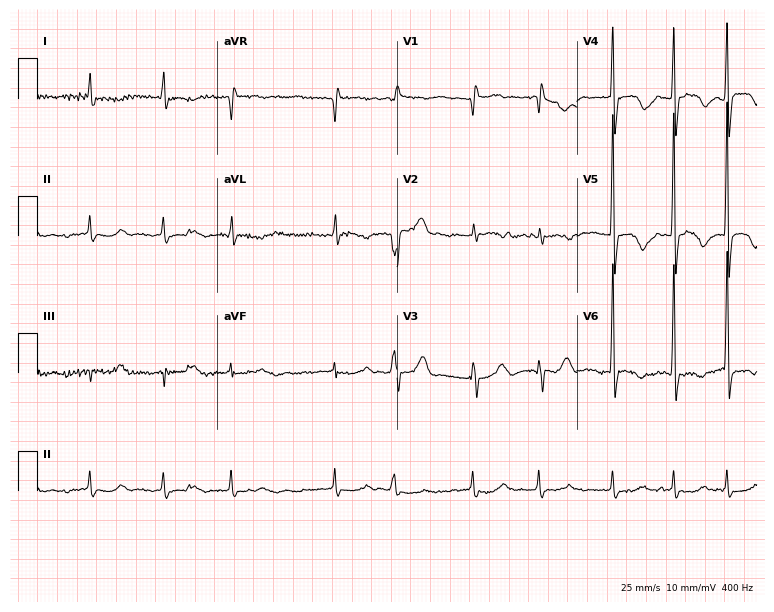
Resting 12-lead electrocardiogram (7.3-second recording at 400 Hz). Patient: a 72-year-old male. The tracing shows atrial fibrillation.